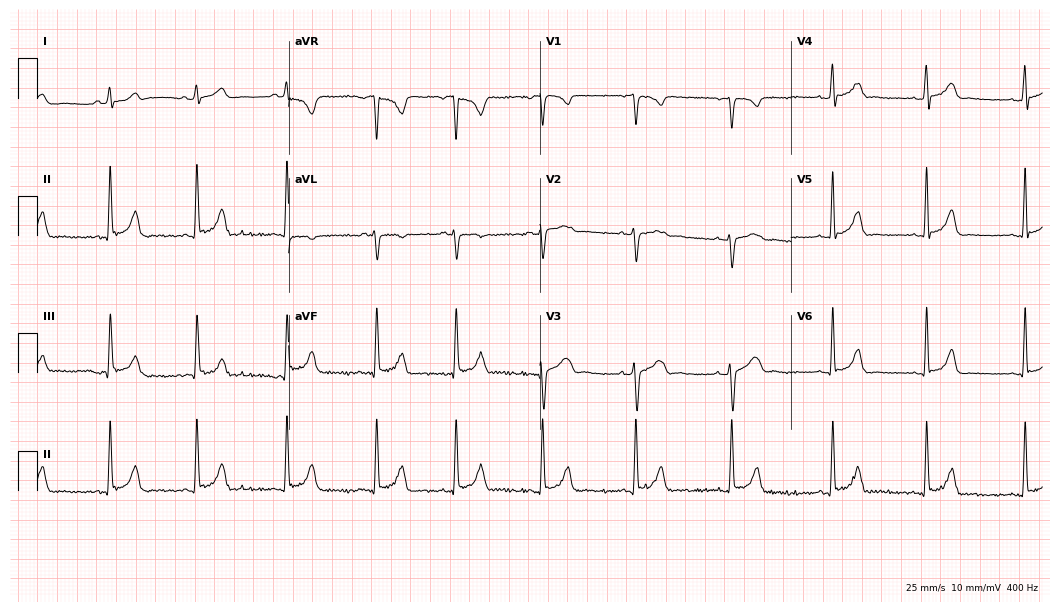
12-lead ECG from a female, 18 years old (10.2-second recording at 400 Hz). Recorded interpretation: within normal limits.